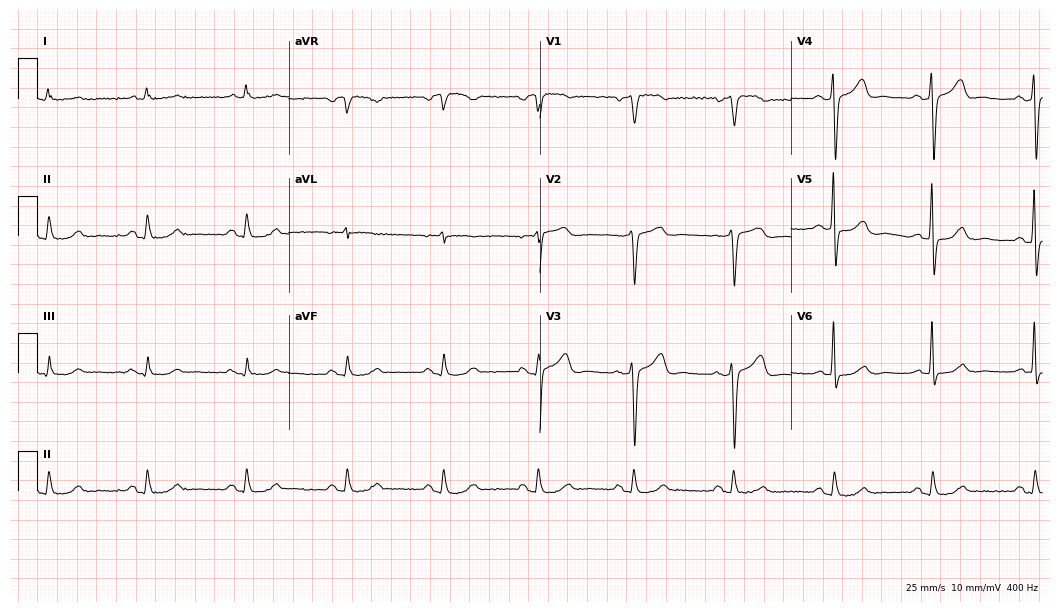
12-lead ECG from a 65-year-old male (10.2-second recording at 400 Hz). Recorded interpretation: within normal limits.